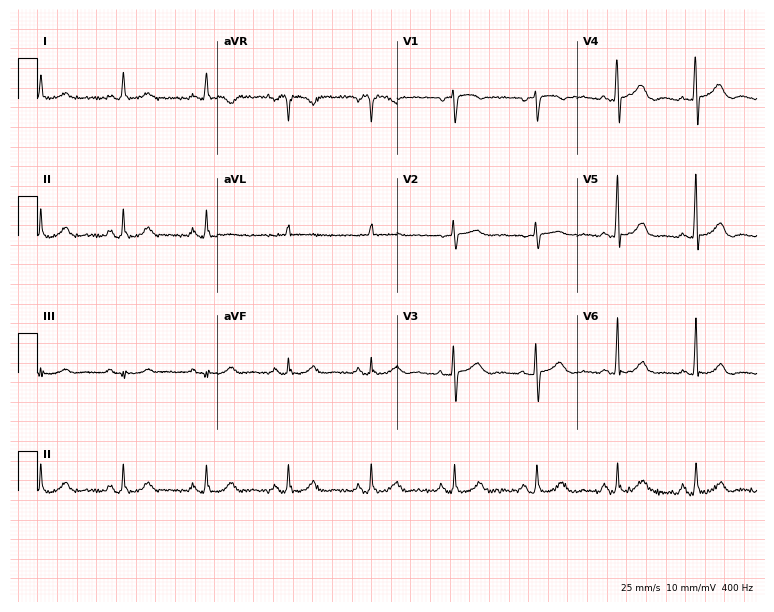
12-lead ECG from a 70-year-old woman. Recorded interpretation: within normal limits.